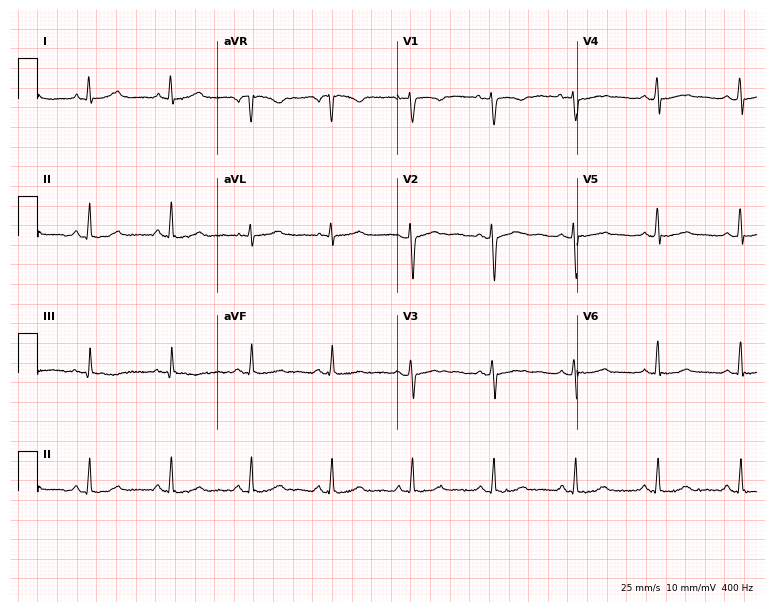
ECG — a female, 37 years old. Labelled as a normal ECG.